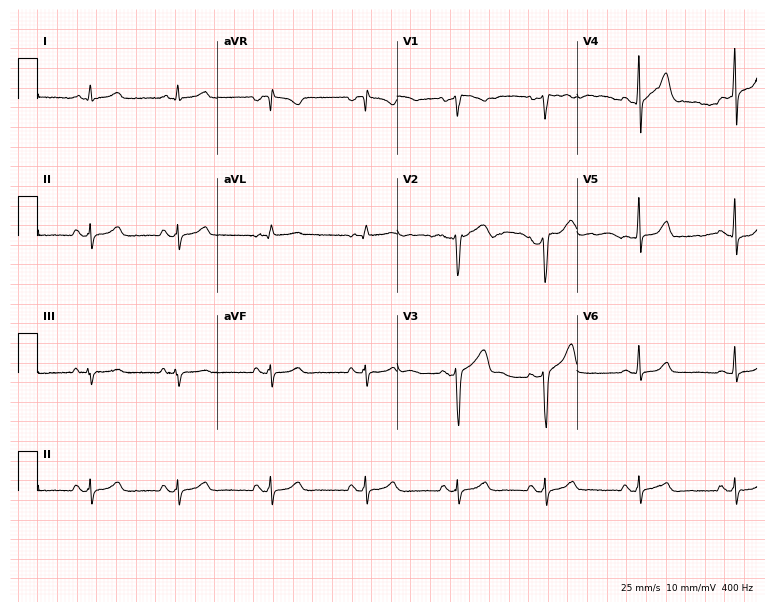
Resting 12-lead electrocardiogram (7.3-second recording at 400 Hz). Patient: a 42-year-old man. None of these six findings is recorded: first-degree AV block, right bundle branch block (RBBB), left bundle branch block (LBBB), sinus bradycardia, atrial fibrillation (AF), sinus tachycardia. Only these six findings were labelled.